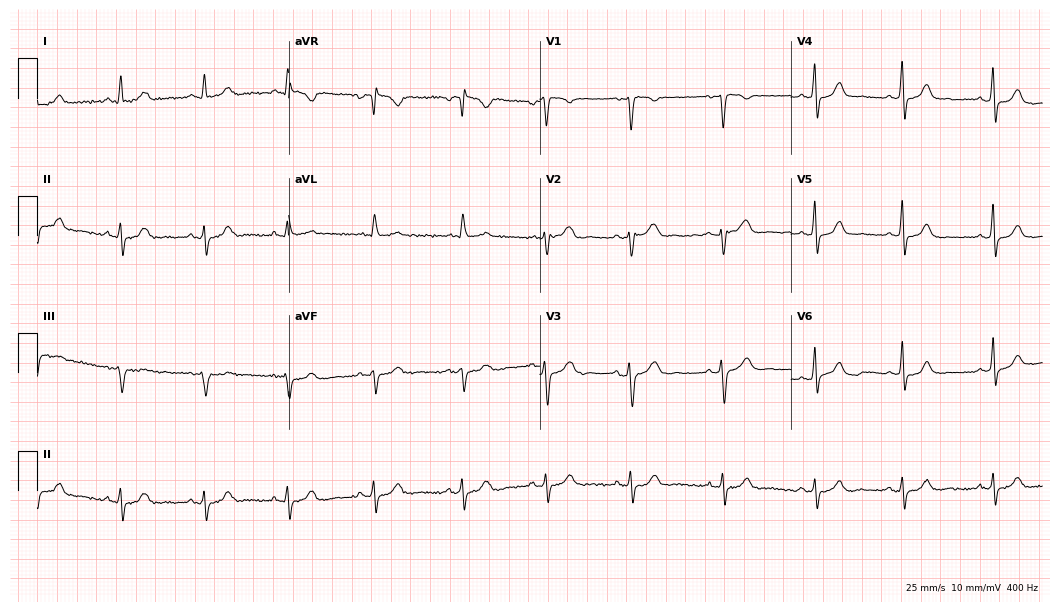
Resting 12-lead electrocardiogram (10.2-second recording at 400 Hz). Patient: a woman, 39 years old. None of these six findings is recorded: first-degree AV block, right bundle branch block (RBBB), left bundle branch block (LBBB), sinus bradycardia, atrial fibrillation (AF), sinus tachycardia. Only these six findings were labelled.